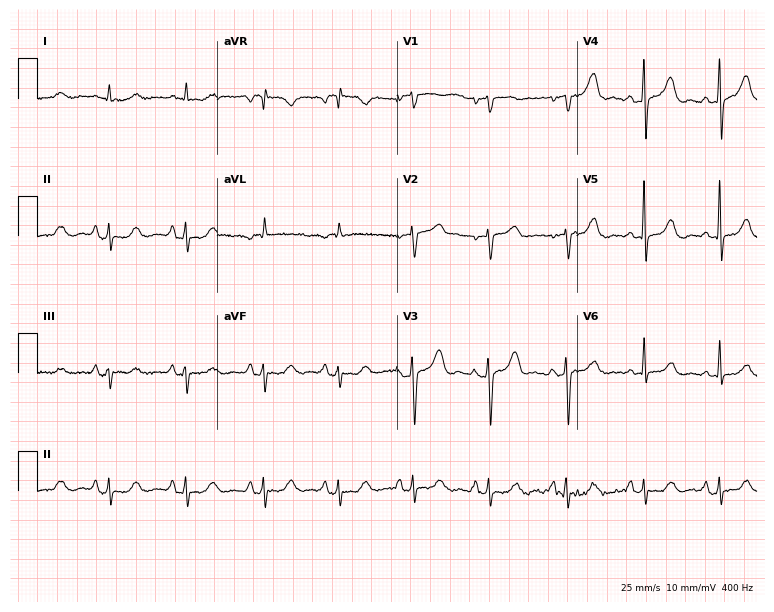
ECG (7.3-second recording at 400 Hz) — a 72-year-old female patient. Labelled as a normal ECG.